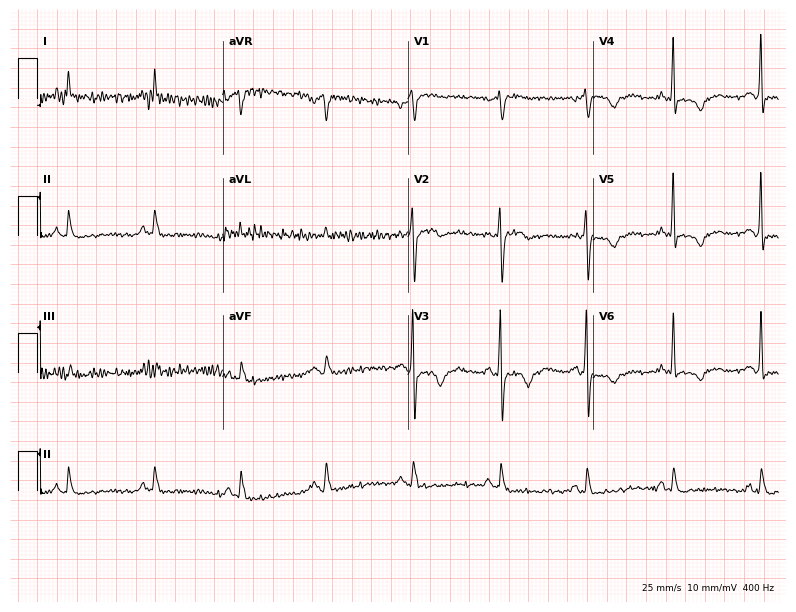
Electrocardiogram, a male, 76 years old. Of the six screened findings (first-degree AV block, right bundle branch block (RBBB), left bundle branch block (LBBB), sinus bradycardia, atrial fibrillation (AF), sinus tachycardia), none is recorded.